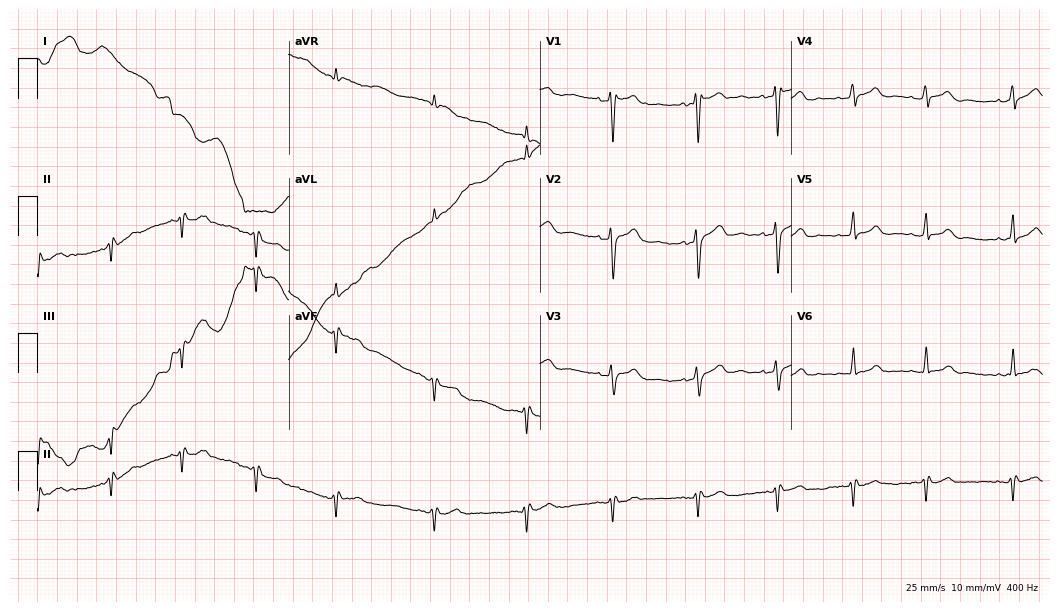
Standard 12-lead ECG recorded from a female patient, 29 years old. None of these six findings is recorded: first-degree AV block, right bundle branch block (RBBB), left bundle branch block (LBBB), sinus bradycardia, atrial fibrillation (AF), sinus tachycardia.